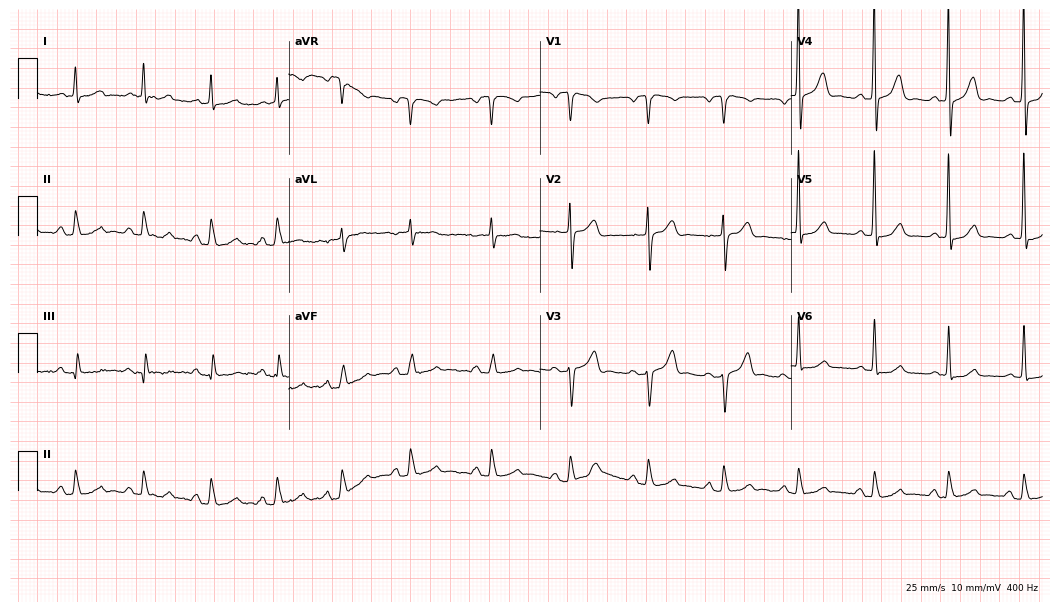
Resting 12-lead electrocardiogram (10.2-second recording at 400 Hz). Patient: a male, 56 years old. Read as a normal ECG.